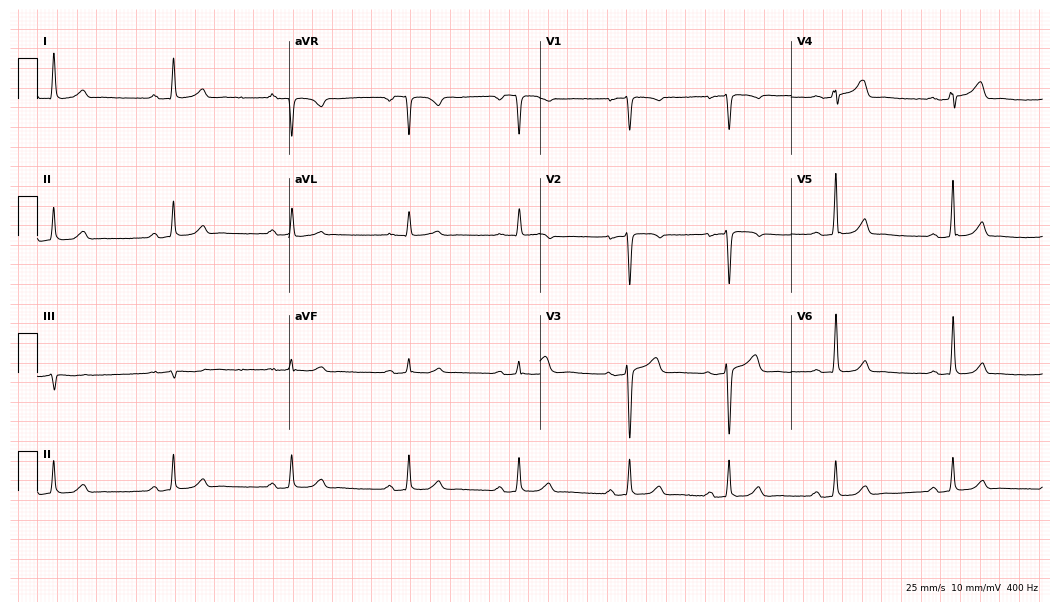
ECG (10.2-second recording at 400 Hz) — a 36-year-old woman. Screened for six findings — first-degree AV block, right bundle branch block, left bundle branch block, sinus bradycardia, atrial fibrillation, sinus tachycardia — none is recorded. Only these six findings were labelled.